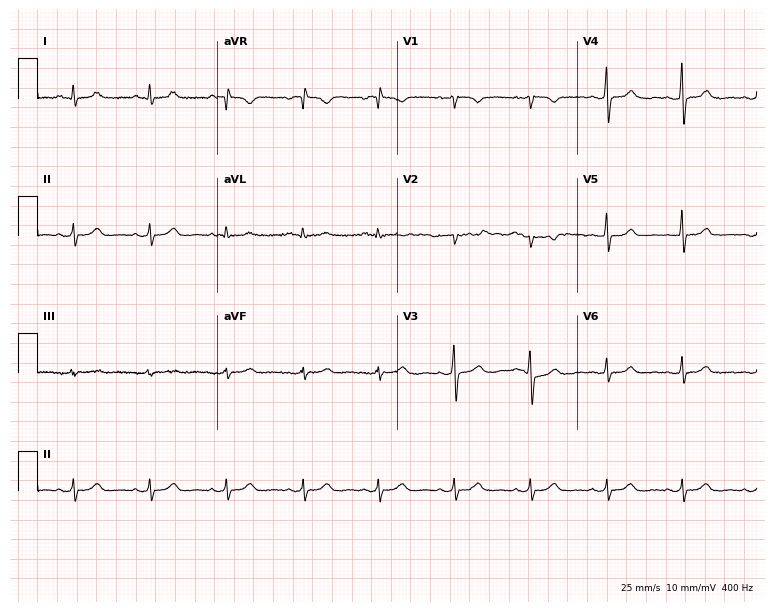
Standard 12-lead ECG recorded from a 69-year-old female patient (7.3-second recording at 400 Hz). Read as a normal ECG.